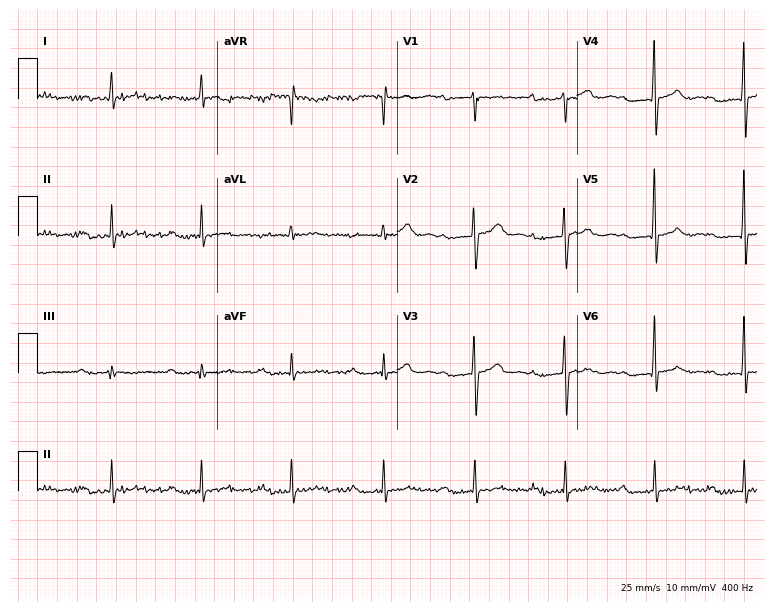
Standard 12-lead ECG recorded from a 74-year-old male. None of these six findings is recorded: first-degree AV block, right bundle branch block (RBBB), left bundle branch block (LBBB), sinus bradycardia, atrial fibrillation (AF), sinus tachycardia.